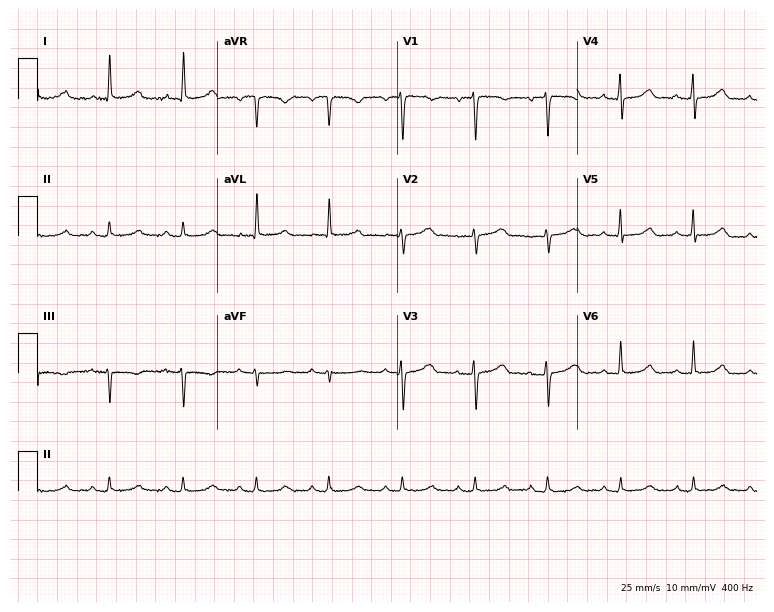
Resting 12-lead electrocardiogram. Patient: a 75-year-old woman. Read as a normal ECG.